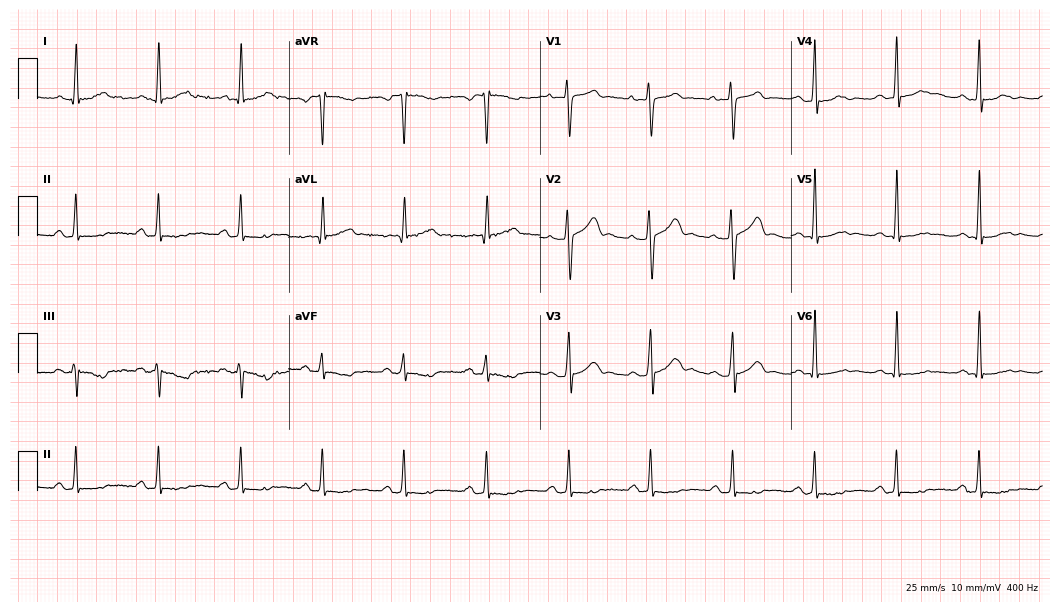
ECG (10.2-second recording at 400 Hz) — a female, 39 years old. Labelled as a normal ECG.